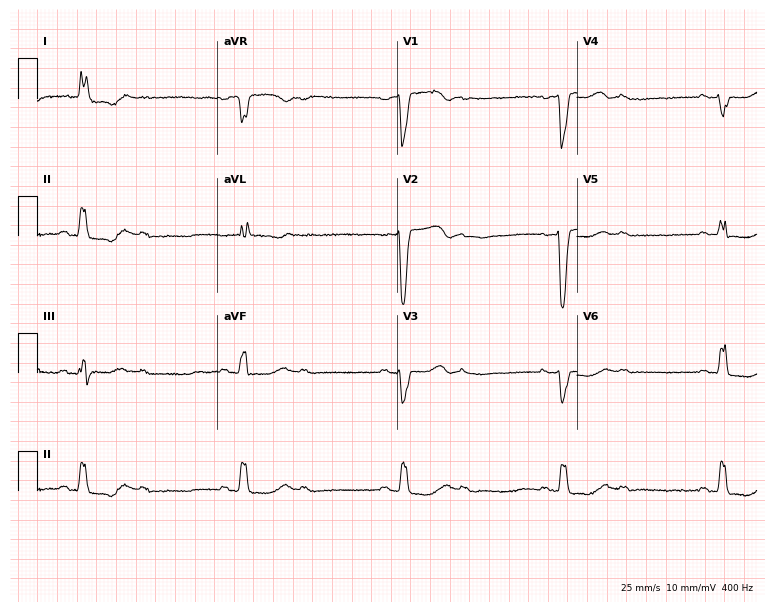
Resting 12-lead electrocardiogram (7.3-second recording at 400 Hz). Patient: a female, 84 years old. The tracing shows left bundle branch block, sinus bradycardia (a sinus rate of 50 beats per minute or less).